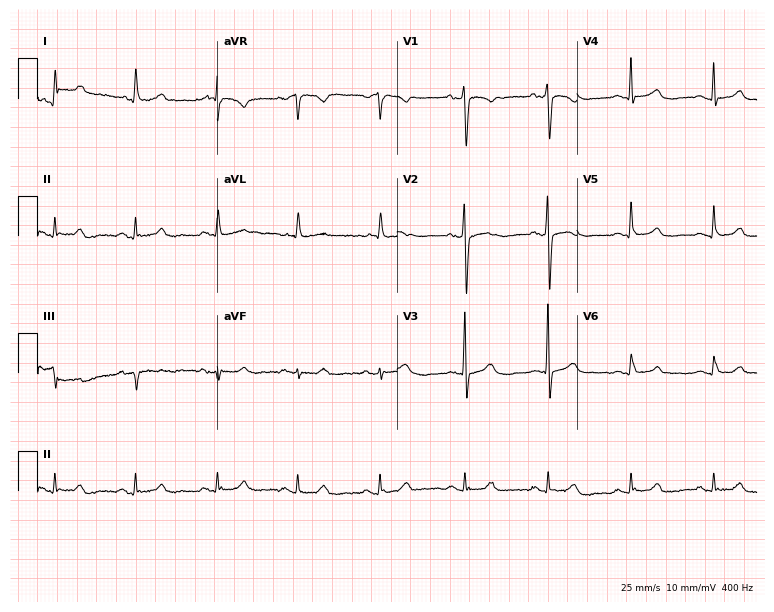
Resting 12-lead electrocardiogram (7.3-second recording at 400 Hz). Patient: a 77-year-old woman. Read as a normal ECG.